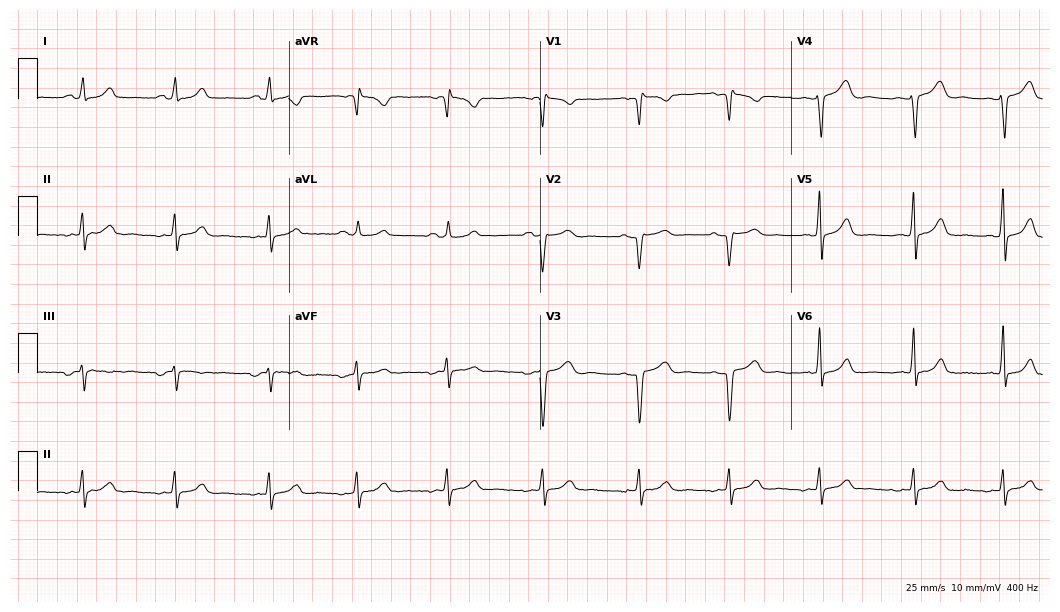
Electrocardiogram (10.2-second recording at 400 Hz), a woman, 38 years old. Of the six screened findings (first-degree AV block, right bundle branch block (RBBB), left bundle branch block (LBBB), sinus bradycardia, atrial fibrillation (AF), sinus tachycardia), none is recorded. Only these six findings were labelled.